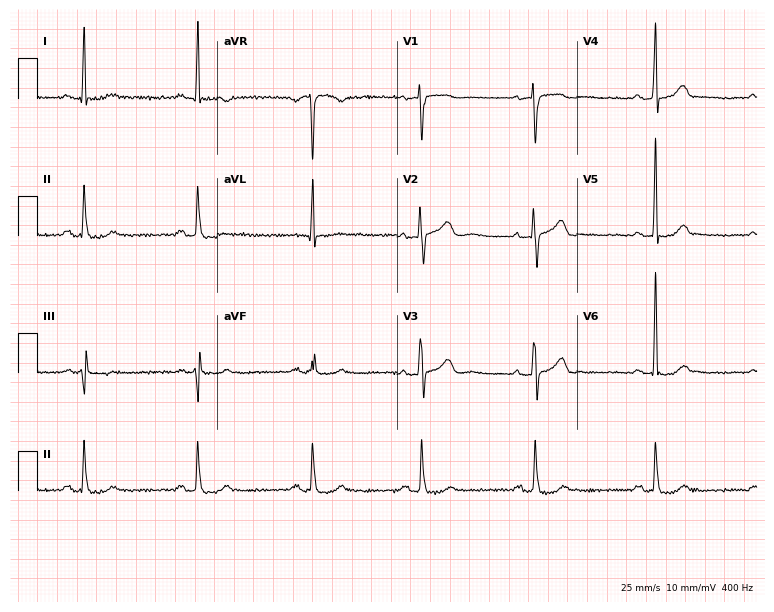
Standard 12-lead ECG recorded from a female, 52 years old (7.3-second recording at 400 Hz). None of these six findings is recorded: first-degree AV block, right bundle branch block, left bundle branch block, sinus bradycardia, atrial fibrillation, sinus tachycardia.